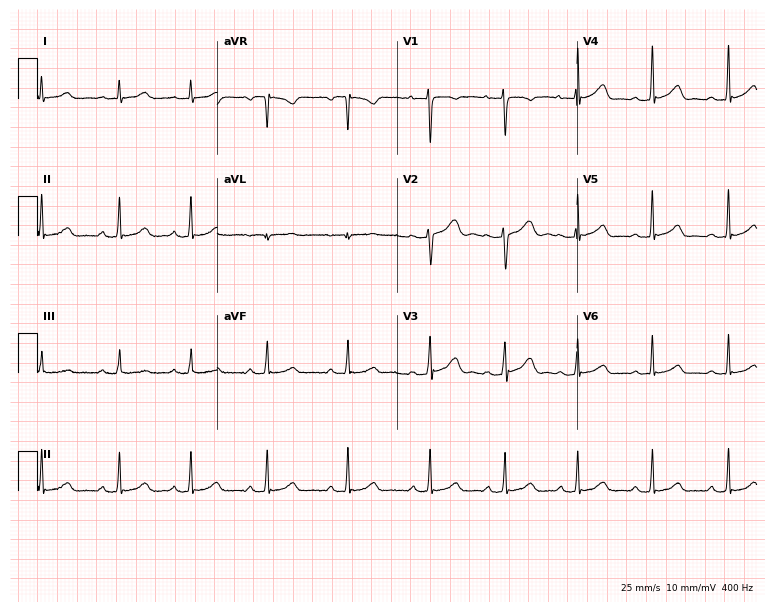
Standard 12-lead ECG recorded from a 20-year-old female (7.3-second recording at 400 Hz). Read as a normal ECG.